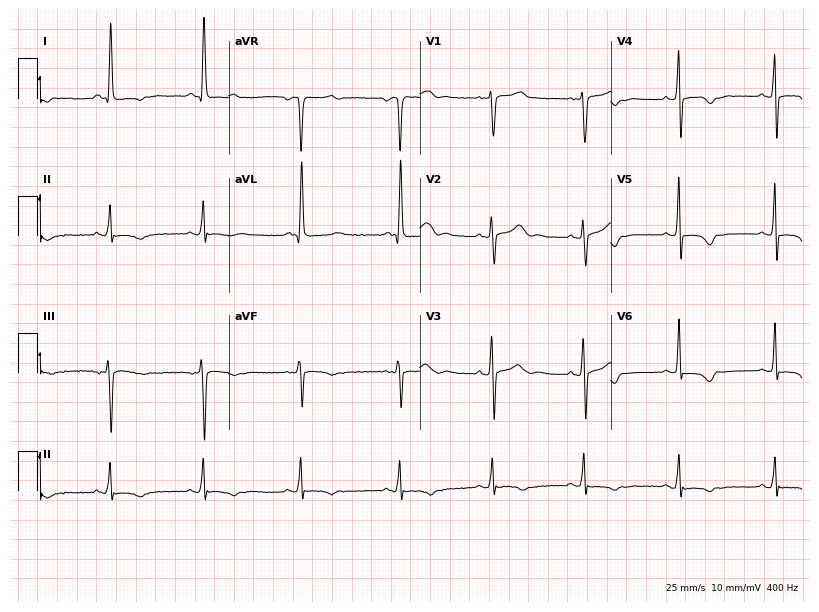
Resting 12-lead electrocardiogram. Patient: a female, 67 years old. None of these six findings is recorded: first-degree AV block, right bundle branch block (RBBB), left bundle branch block (LBBB), sinus bradycardia, atrial fibrillation (AF), sinus tachycardia.